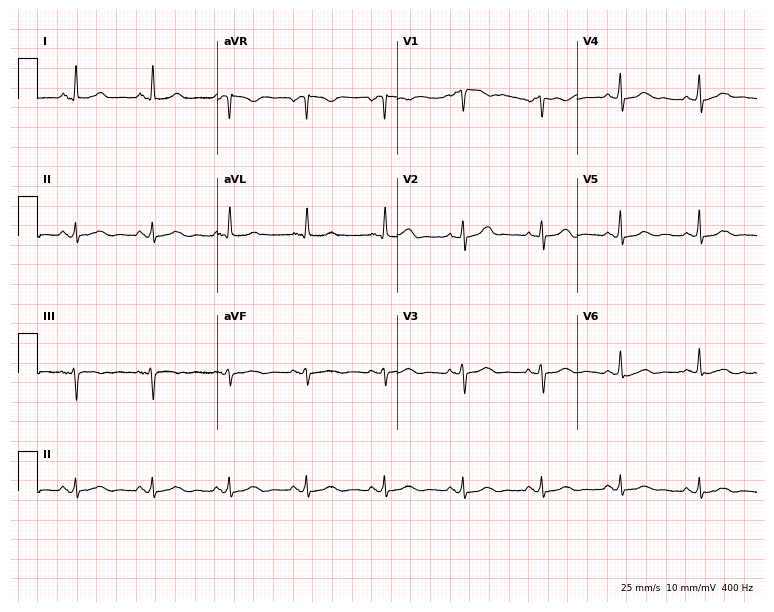
12-lead ECG (7.3-second recording at 400 Hz) from a 68-year-old female. Labelled as a normal ECG.